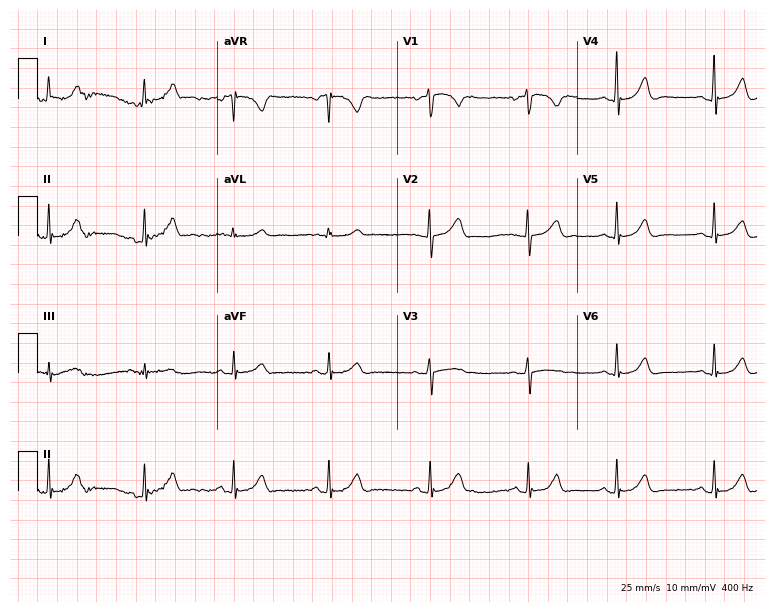
12-lead ECG (7.3-second recording at 400 Hz) from a 25-year-old female patient. Labelled as a normal ECG.